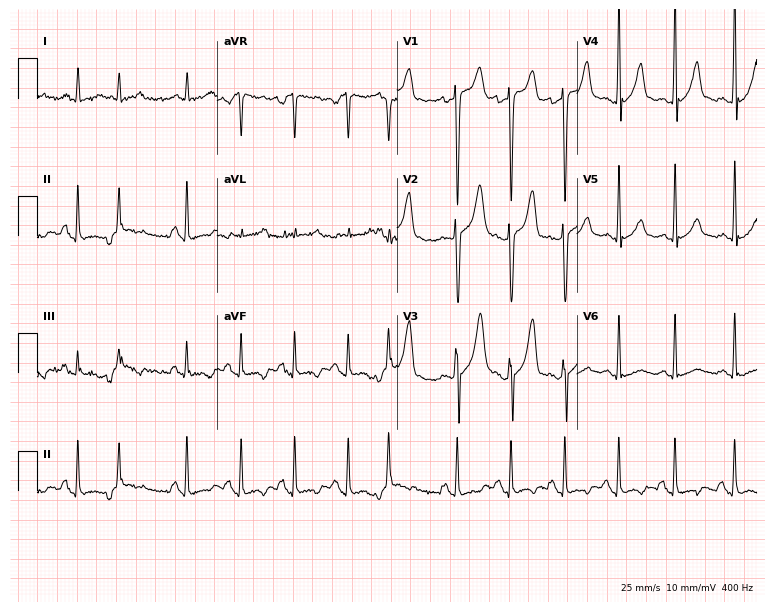
ECG — a female, 37 years old. Findings include sinus tachycardia (a sinus rate of 100 beats per minute or more).